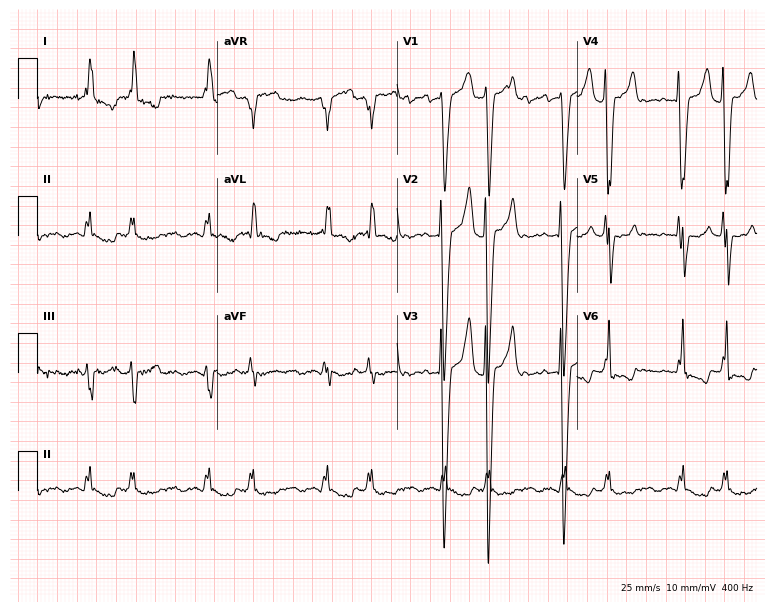
ECG — a 69-year-old female patient. Screened for six findings — first-degree AV block, right bundle branch block, left bundle branch block, sinus bradycardia, atrial fibrillation, sinus tachycardia — none is recorded. Only these six findings were labelled.